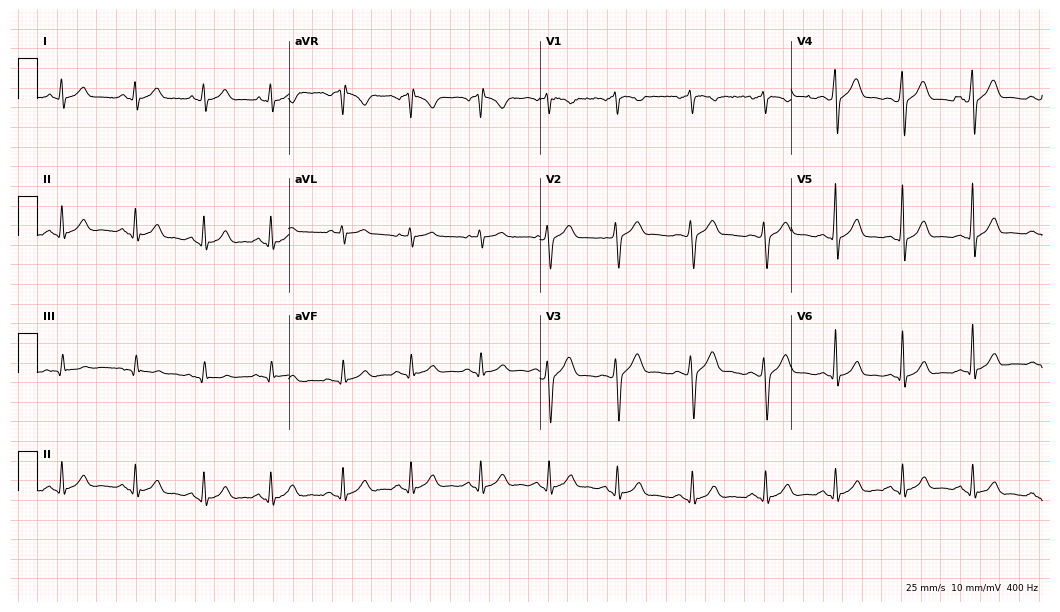
12-lead ECG from a male patient, 43 years old. Labelled as a normal ECG.